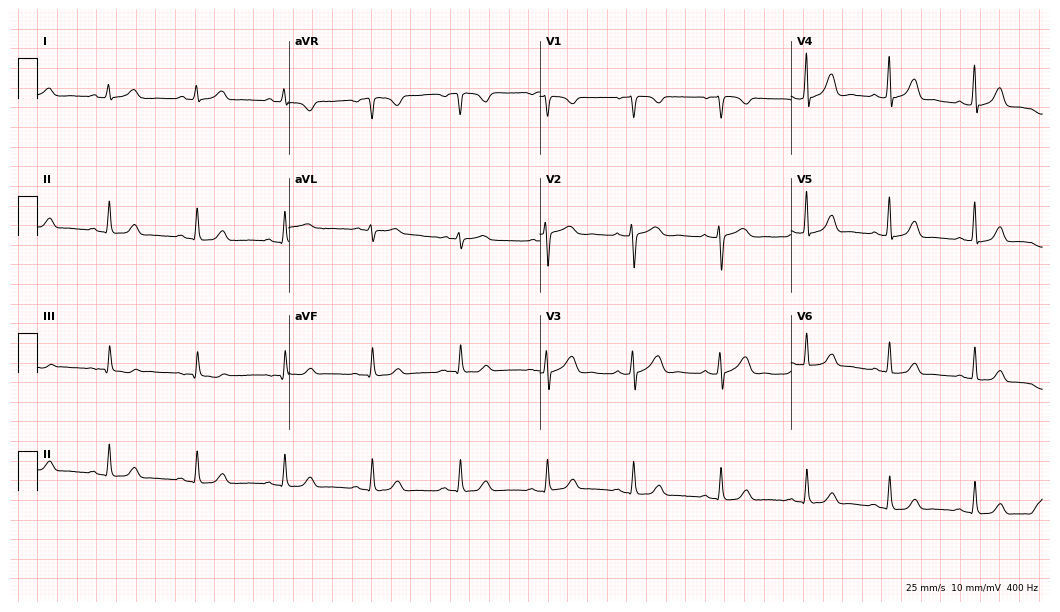
ECG (10.2-second recording at 400 Hz) — a female, 52 years old. Labelled as a normal ECG.